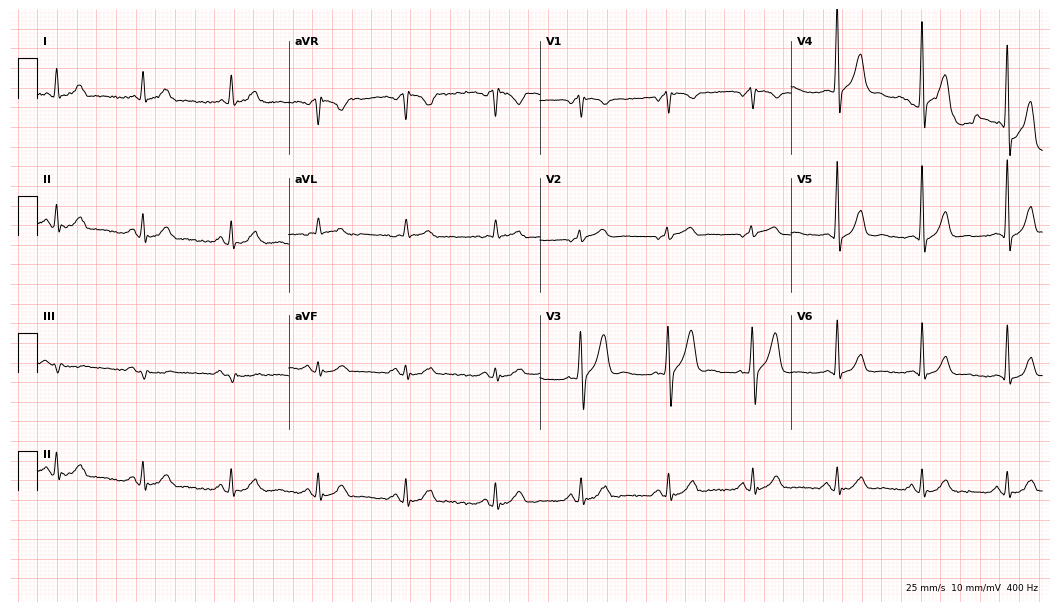
12-lead ECG from a male patient, 59 years old (10.2-second recording at 400 Hz). Recorded interpretation: within normal limits.